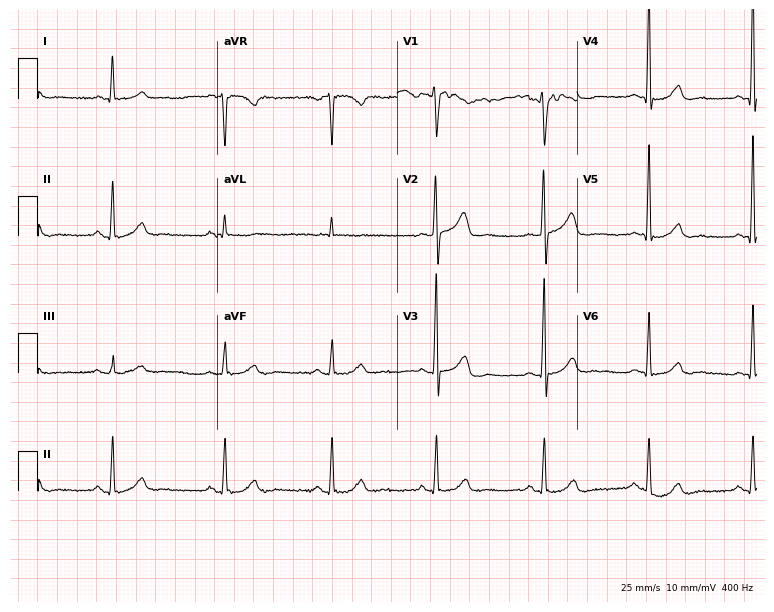
ECG — a male patient, 68 years old. Screened for six findings — first-degree AV block, right bundle branch block, left bundle branch block, sinus bradycardia, atrial fibrillation, sinus tachycardia — none is recorded. Other findings, if any, are not listed.